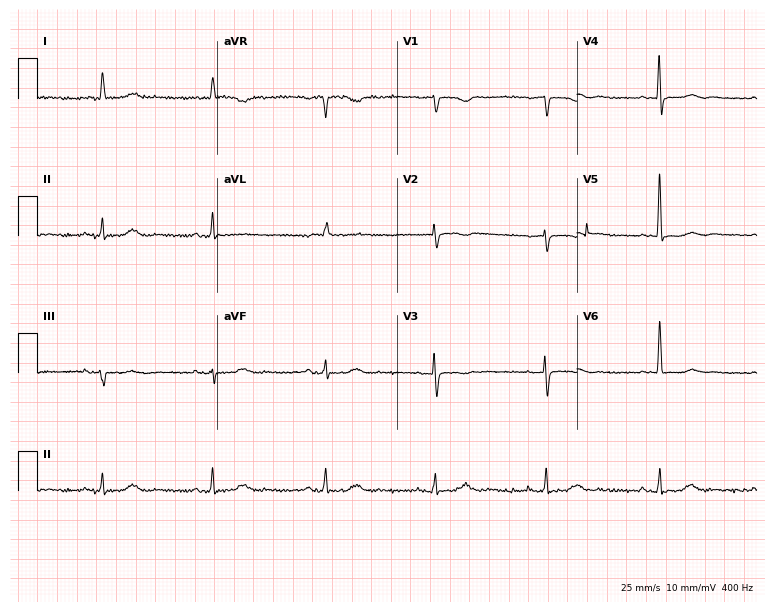
12-lead ECG from a 75-year-old female. Screened for six findings — first-degree AV block, right bundle branch block, left bundle branch block, sinus bradycardia, atrial fibrillation, sinus tachycardia — none is recorded.